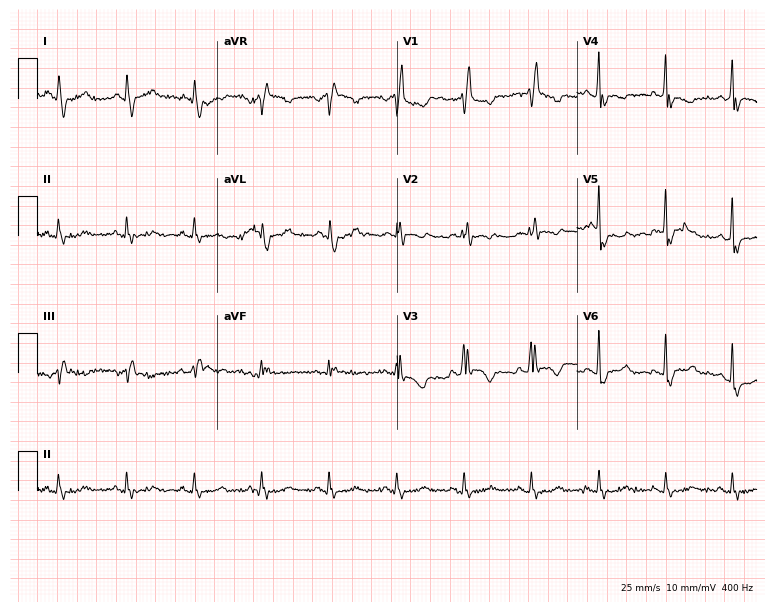
Resting 12-lead electrocardiogram. Patient: a male, 64 years old. The tracing shows right bundle branch block.